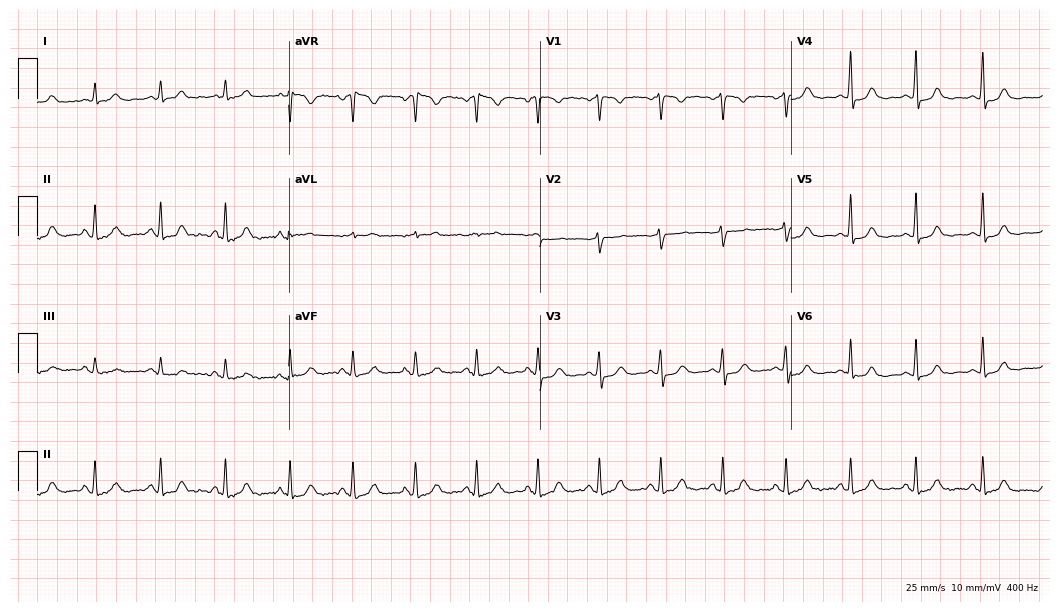
ECG — a 53-year-old female. Labelled as a normal ECG.